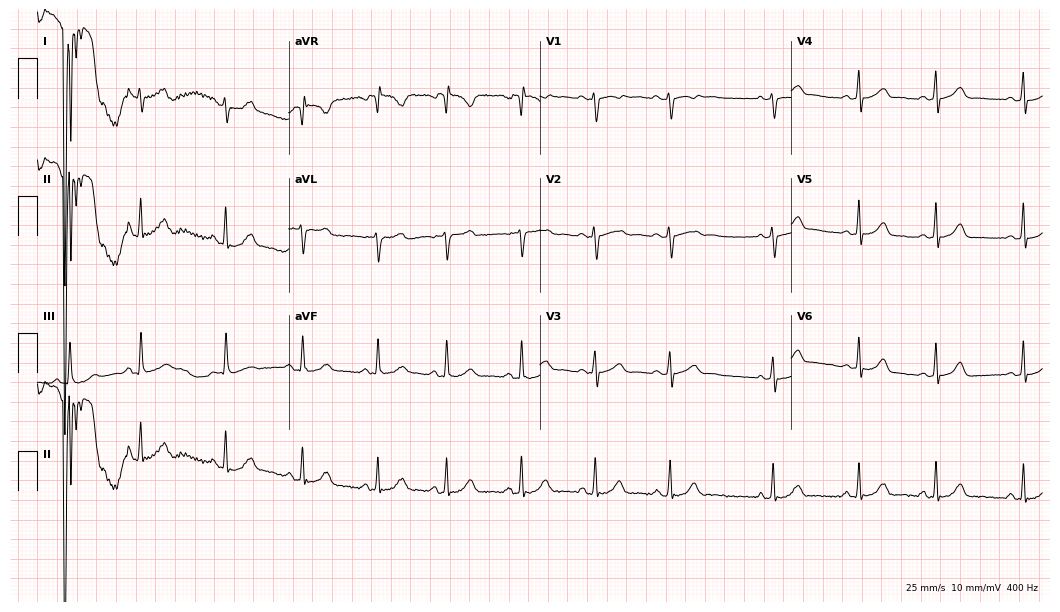
ECG — a female patient, 24 years old. Labelled as a normal ECG.